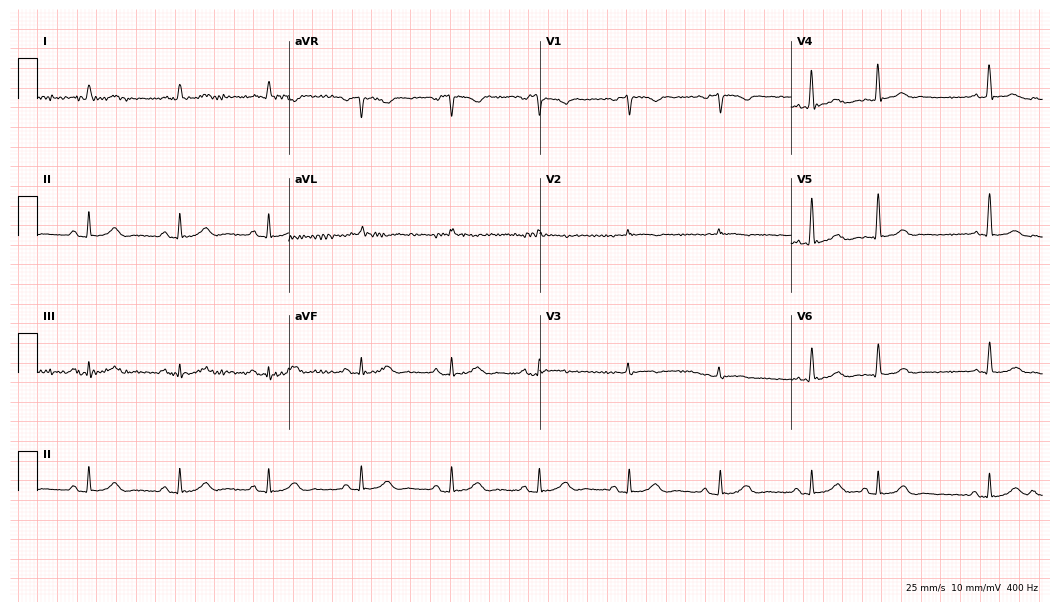
Standard 12-lead ECG recorded from a 71-year-old man. Read as a normal ECG.